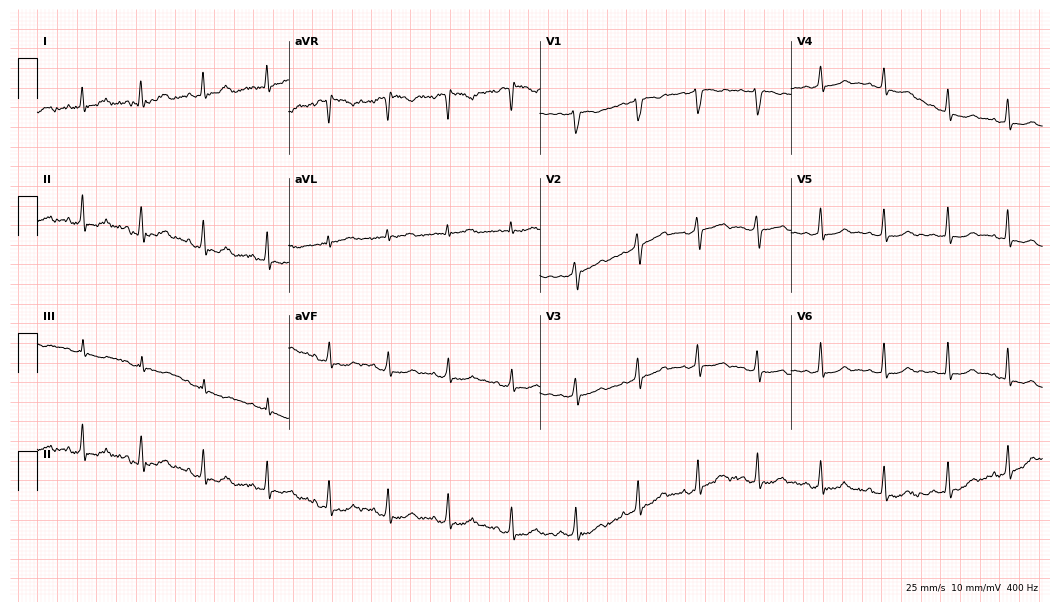
12-lead ECG from a woman, 35 years old (10.2-second recording at 400 Hz). No first-degree AV block, right bundle branch block, left bundle branch block, sinus bradycardia, atrial fibrillation or sinus tachycardia recorded for this tracing. Other findings, if any, are not listed.